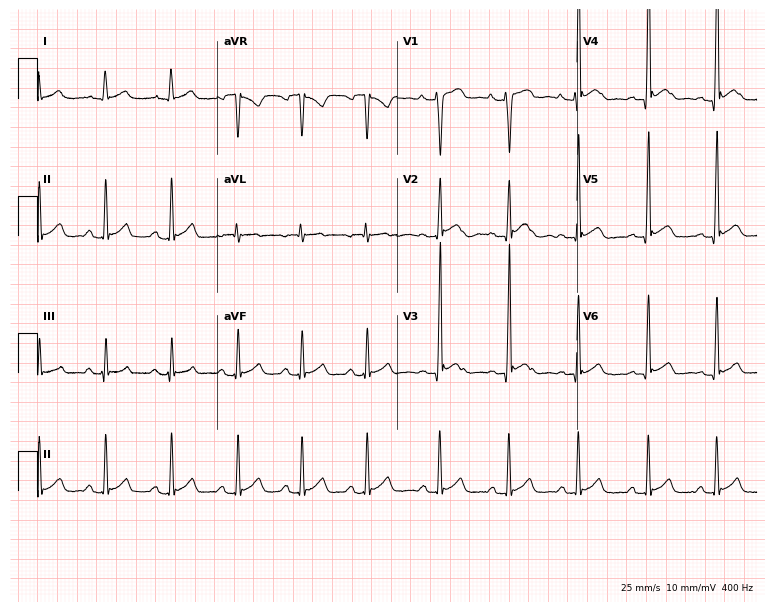
Electrocardiogram, a man, 23 years old. Overall reading on record: normal ECG.